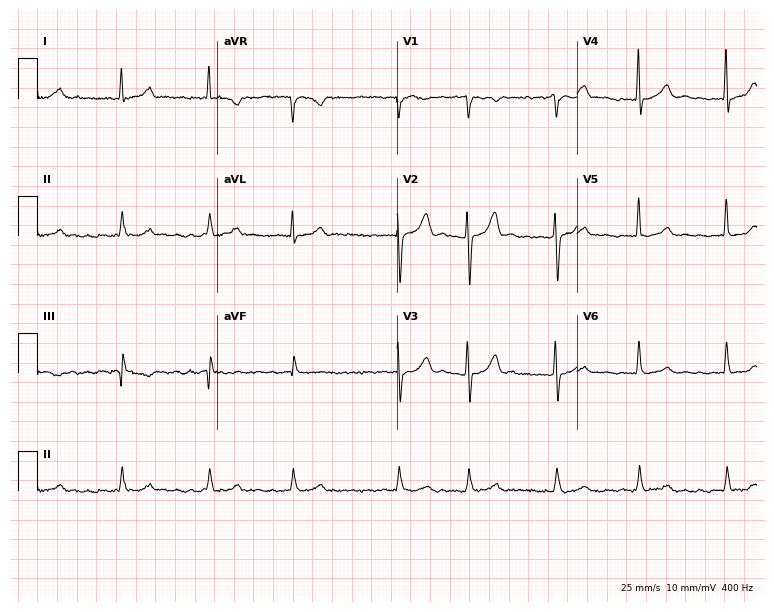
ECG — a man, 70 years old. Findings include atrial fibrillation.